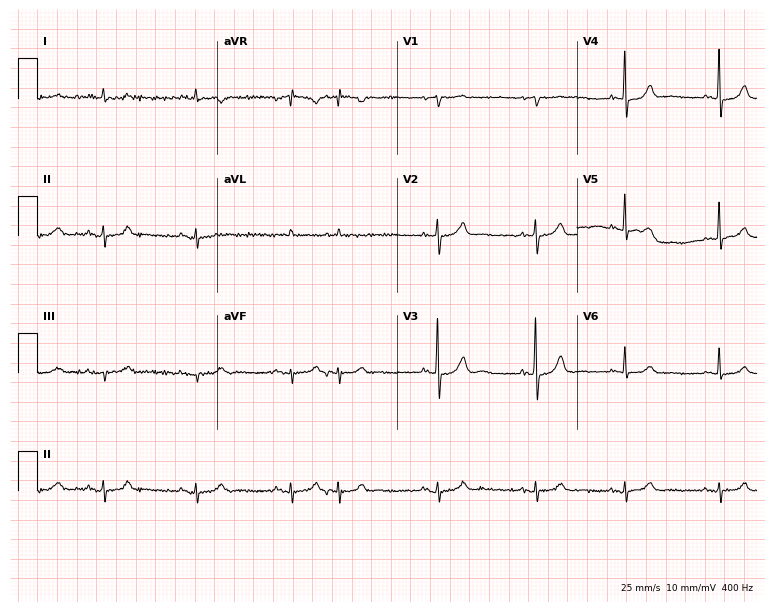
Electrocardiogram (7.3-second recording at 400 Hz), a 79-year-old male patient. Of the six screened findings (first-degree AV block, right bundle branch block (RBBB), left bundle branch block (LBBB), sinus bradycardia, atrial fibrillation (AF), sinus tachycardia), none is recorded. Other findings, if any, are not listed.